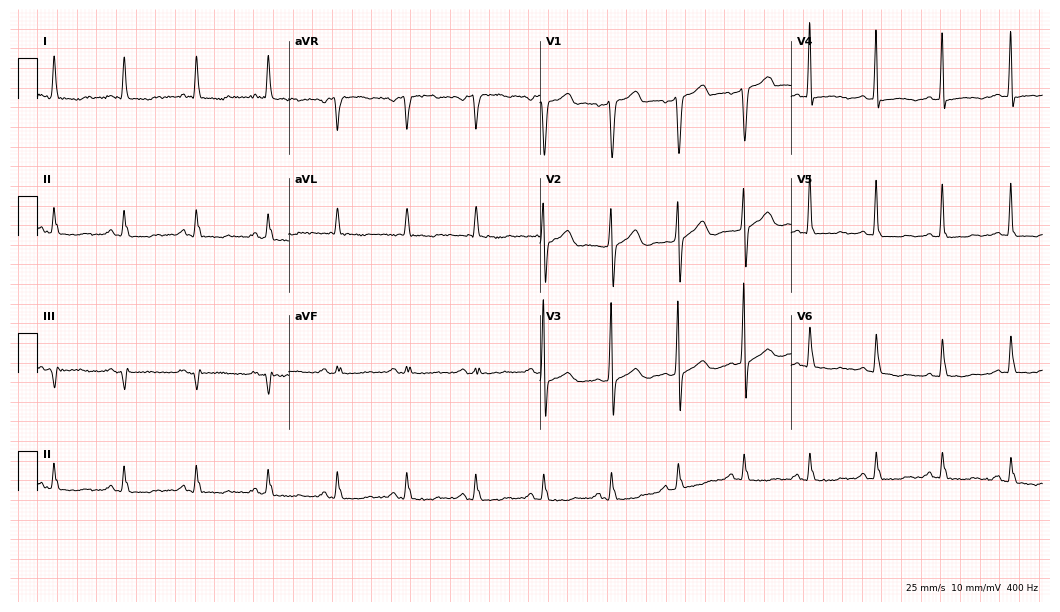
ECG (10.2-second recording at 400 Hz) — a 55-year-old female patient. Screened for six findings — first-degree AV block, right bundle branch block, left bundle branch block, sinus bradycardia, atrial fibrillation, sinus tachycardia — none is recorded. Other findings, if any, are not listed.